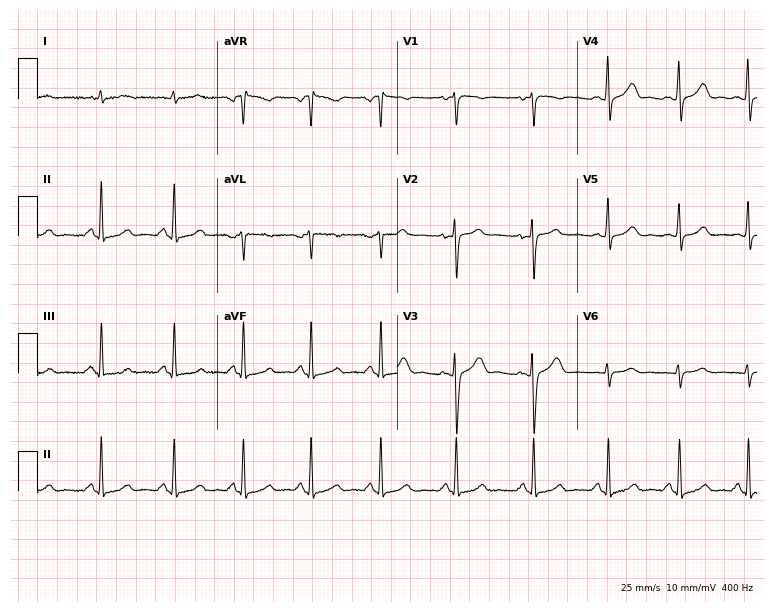
Resting 12-lead electrocardiogram. Patient: a female, 29 years old. None of these six findings is recorded: first-degree AV block, right bundle branch block, left bundle branch block, sinus bradycardia, atrial fibrillation, sinus tachycardia.